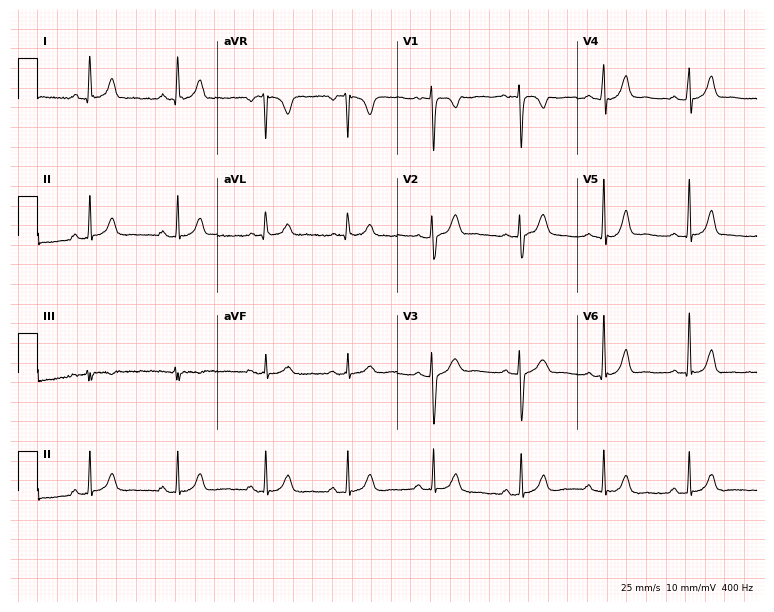
Electrocardiogram (7.3-second recording at 400 Hz), a 31-year-old female patient. Overall reading on record: normal ECG.